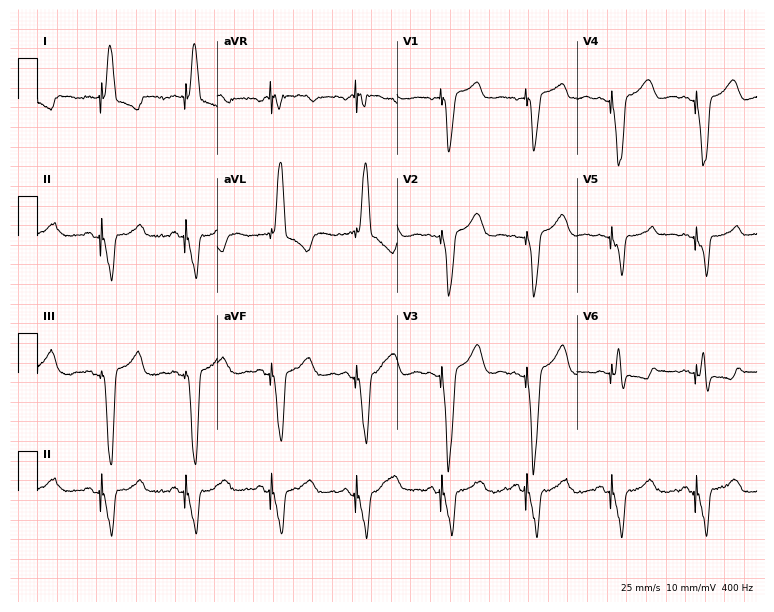
12-lead ECG from a female patient, 82 years old. No first-degree AV block, right bundle branch block (RBBB), left bundle branch block (LBBB), sinus bradycardia, atrial fibrillation (AF) or sinus tachycardia recorded for this tracing.